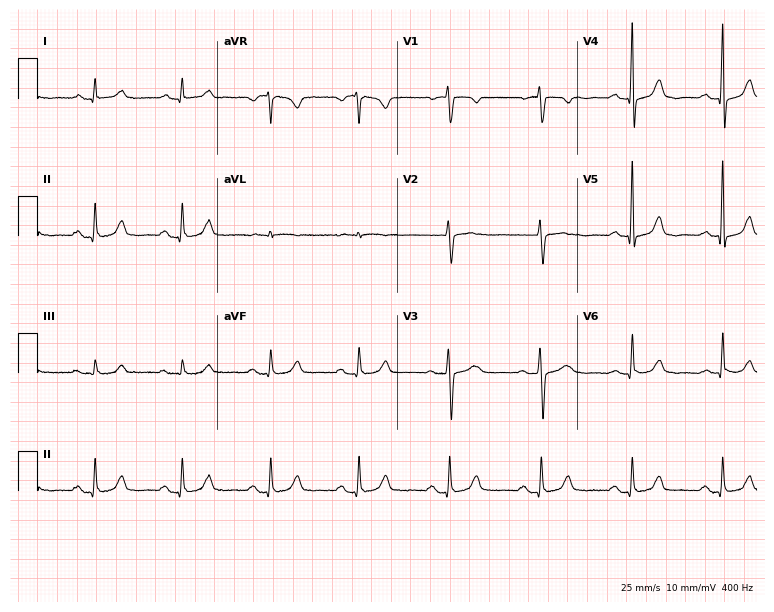
12-lead ECG from a 74-year-old female patient. Labelled as a normal ECG.